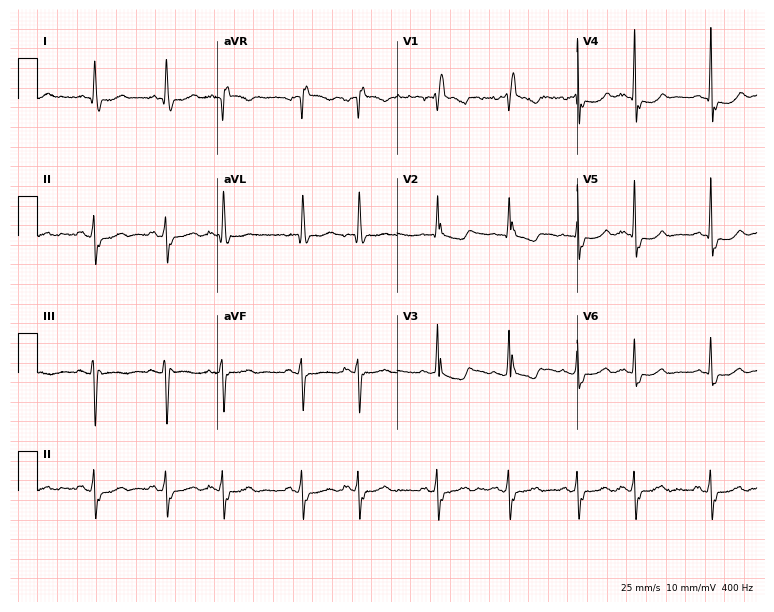
Electrocardiogram, a 59-year-old female patient. Interpretation includes right bundle branch block.